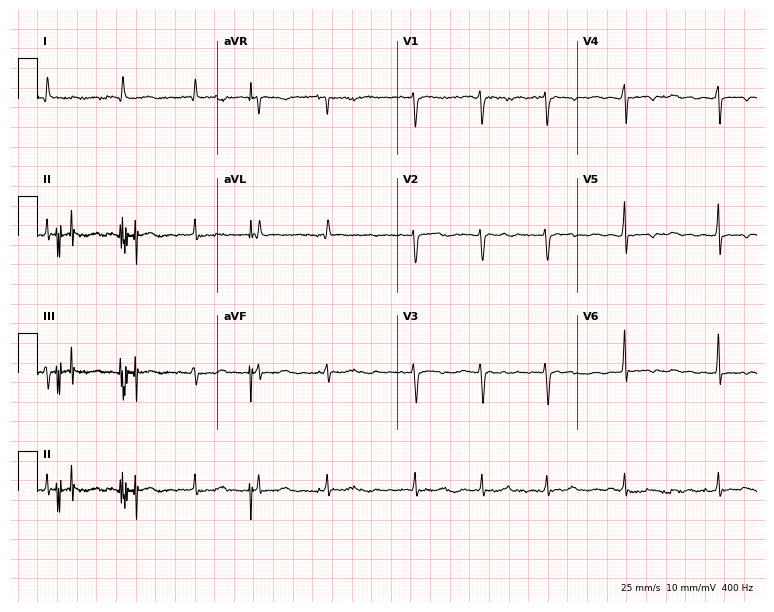
Standard 12-lead ECG recorded from a woman, 76 years old. The tracing shows atrial fibrillation.